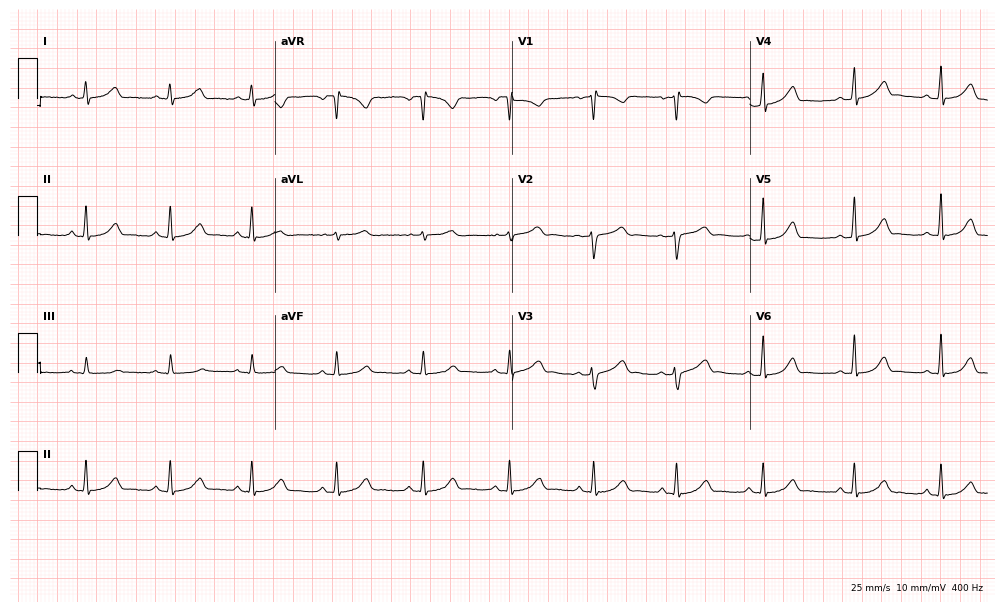
12-lead ECG from a 33-year-old female patient. Labelled as a normal ECG.